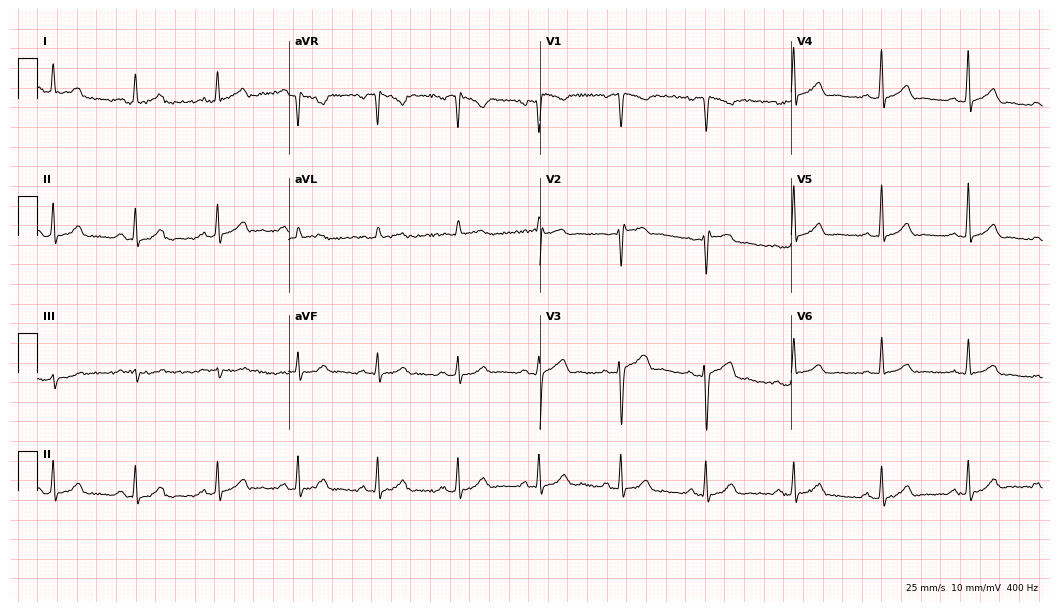
12-lead ECG (10.2-second recording at 400 Hz) from a male, 44 years old. Labelled as a normal ECG.